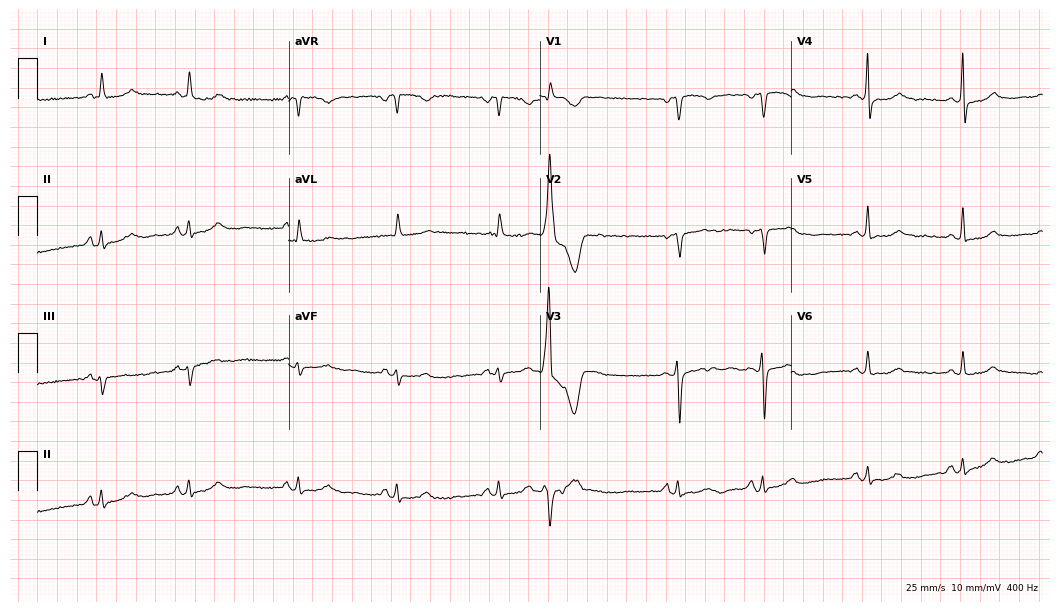
Resting 12-lead electrocardiogram. Patient: a 56-year-old female. None of these six findings is recorded: first-degree AV block, right bundle branch block, left bundle branch block, sinus bradycardia, atrial fibrillation, sinus tachycardia. Other findings, if any, are not listed.